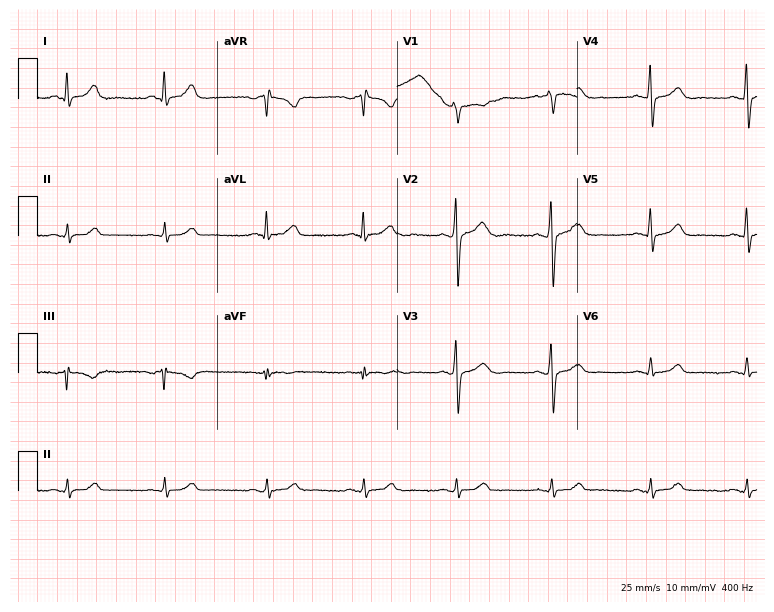
12-lead ECG from a man, 56 years old (7.3-second recording at 400 Hz). Recorded interpretation: within normal limits.